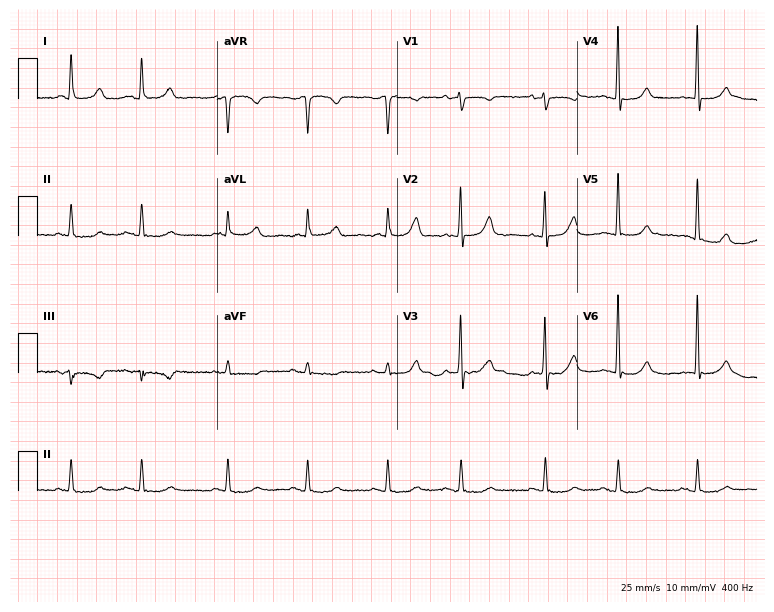
Resting 12-lead electrocardiogram. Patient: a female, 79 years old. None of these six findings is recorded: first-degree AV block, right bundle branch block (RBBB), left bundle branch block (LBBB), sinus bradycardia, atrial fibrillation (AF), sinus tachycardia. Only these six findings were labelled.